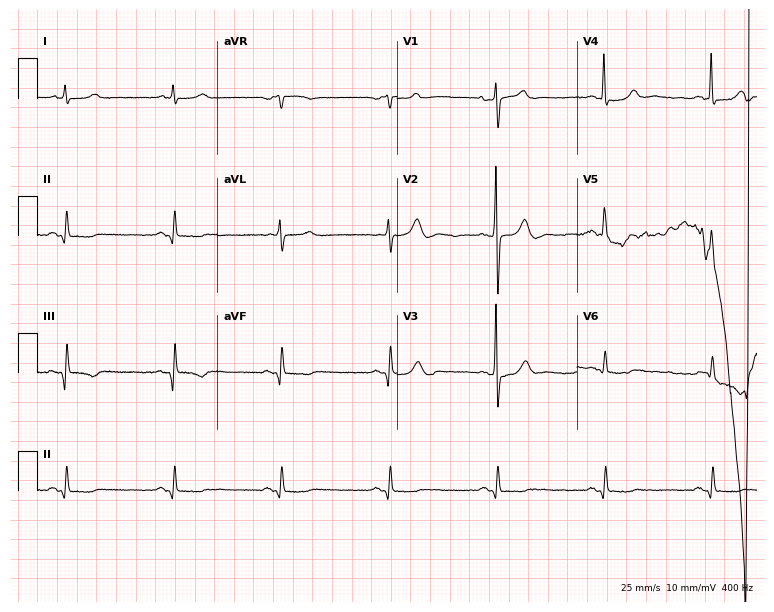
Standard 12-lead ECG recorded from a male, 63 years old (7.3-second recording at 400 Hz). None of these six findings is recorded: first-degree AV block, right bundle branch block, left bundle branch block, sinus bradycardia, atrial fibrillation, sinus tachycardia. Only these six findings were labelled.